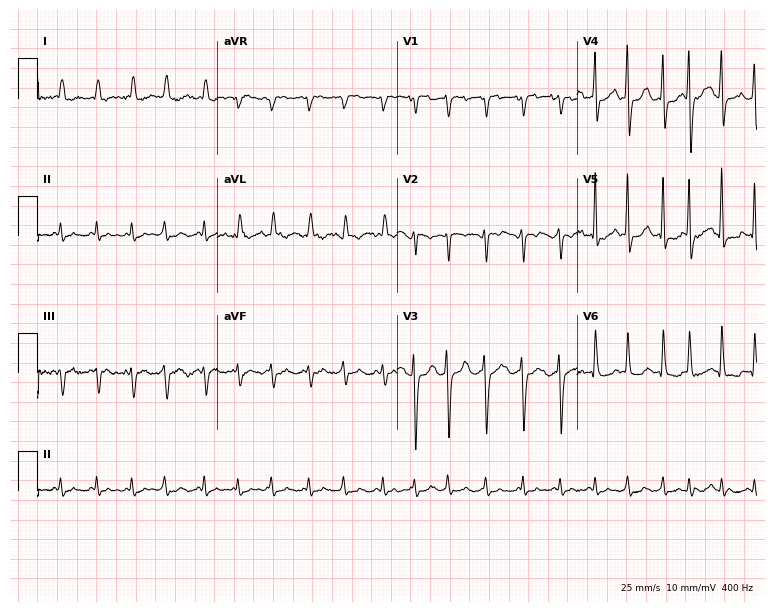
12-lead ECG from a 64-year-old female. Shows sinus tachycardia (a sinus rate of 100 beats per minute or more).